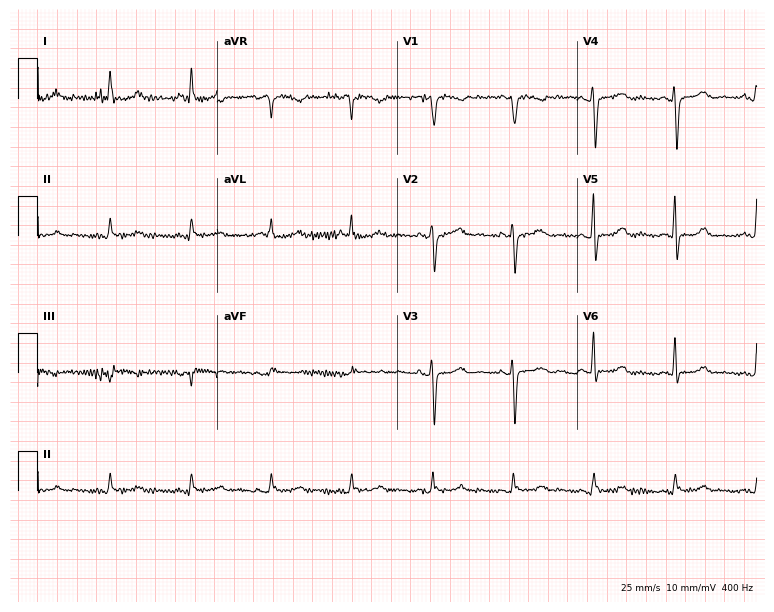
ECG — a woman, 66 years old. Labelled as a normal ECG.